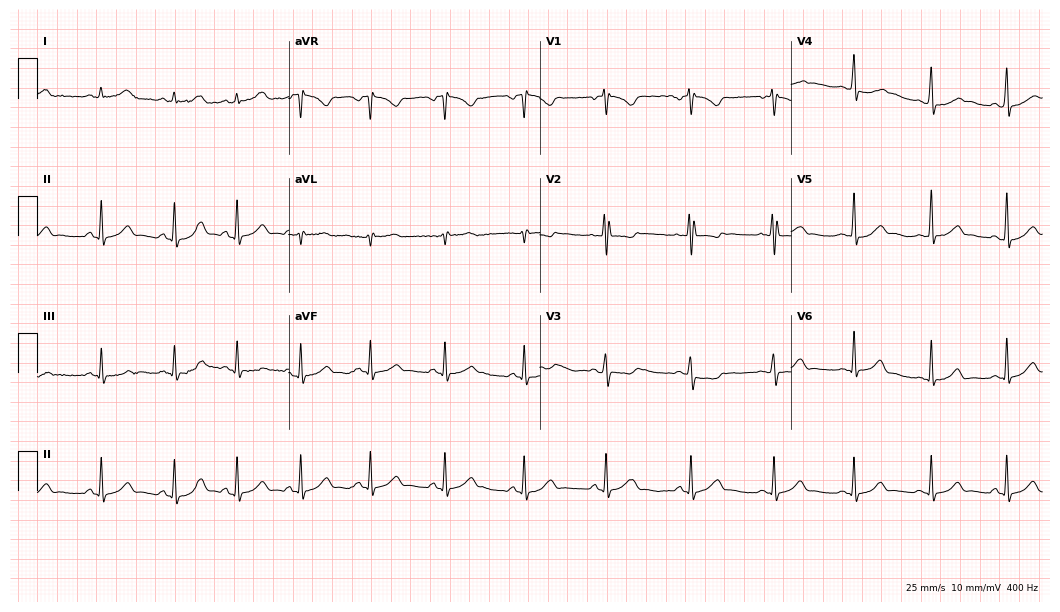
Electrocardiogram (10.2-second recording at 400 Hz), a 17-year-old woman. Of the six screened findings (first-degree AV block, right bundle branch block (RBBB), left bundle branch block (LBBB), sinus bradycardia, atrial fibrillation (AF), sinus tachycardia), none is recorded. Only these six findings were labelled.